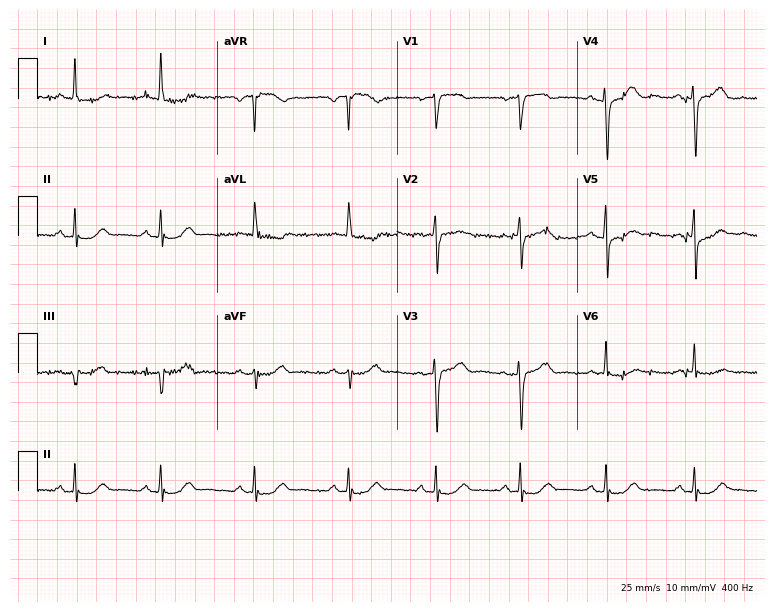
ECG (7.3-second recording at 400 Hz) — a woman, 62 years old. Screened for six findings — first-degree AV block, right bundle branch block, left bundle branch block, sinus bradycardia, atrial fibrillation, sinus tachycardia — none is recorded. Findings outside these six are not listed.